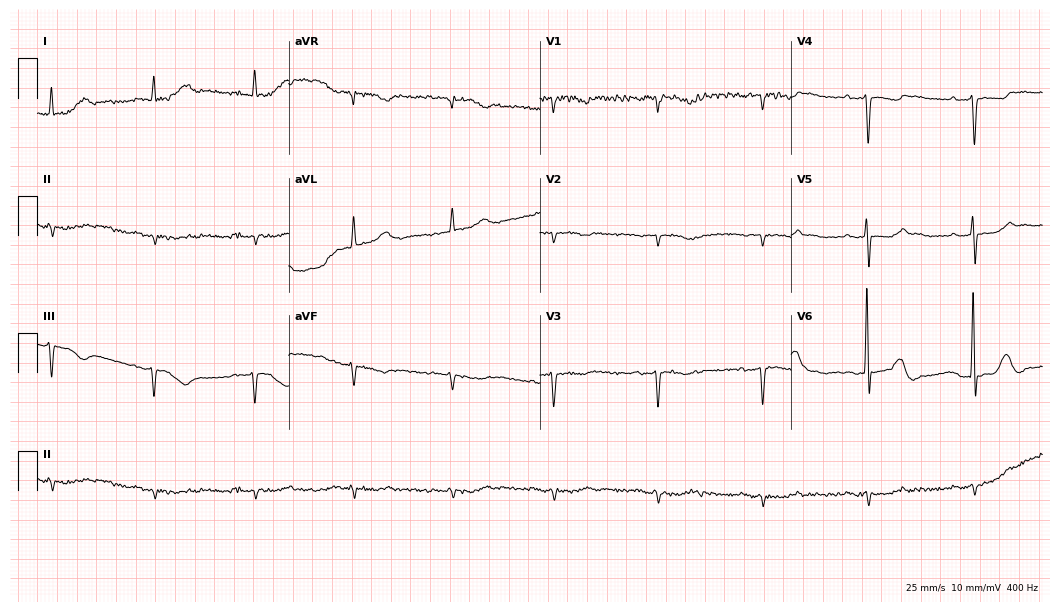
Resting 12-lead electrocardiogram (10.2-second recording at 400 Hz). Patient: a 78-year-old male. None of these six findings is recorded: first-degree AV block, right bundle branch block (RBBB), left bundle branch block (LBBB), sinus bradycardia, atrial fibrillation (AF), sinus tachycardia. Findings outside these six are not listed.